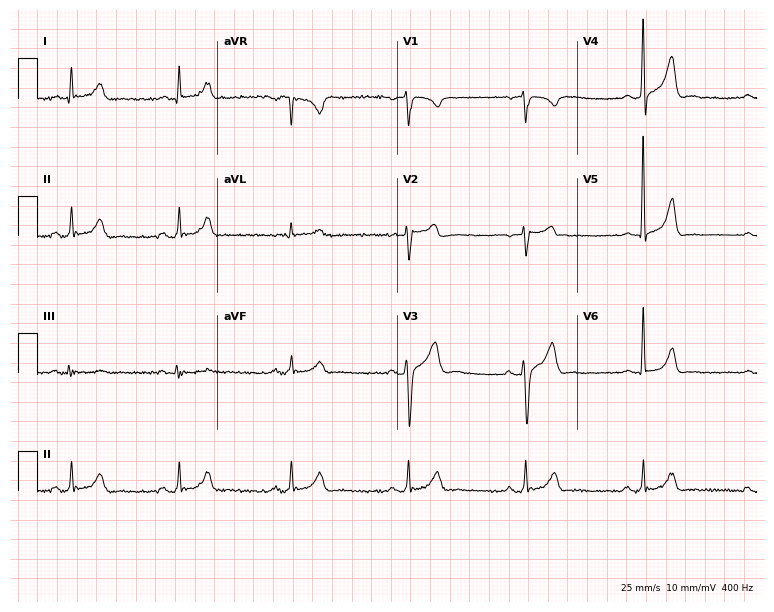
Resting 12-lead electrocardiogram. Patient: a male, 56 years old. Read as a normal ECG.